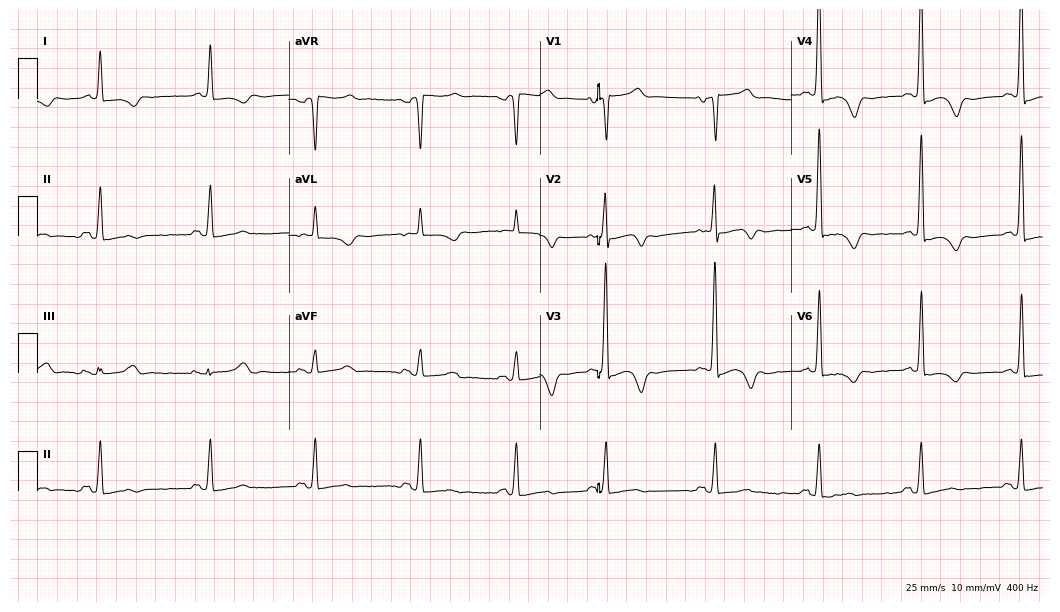
Standard 12-lead ECG recorded from a male, 78 years old. None of these six findings is recorded: first-degree AV block, right bundle branch block, left bundle branch block, sinus bradycardia, atrial fibrillation, sinus tachycardia. Findings outside these six are not listed.